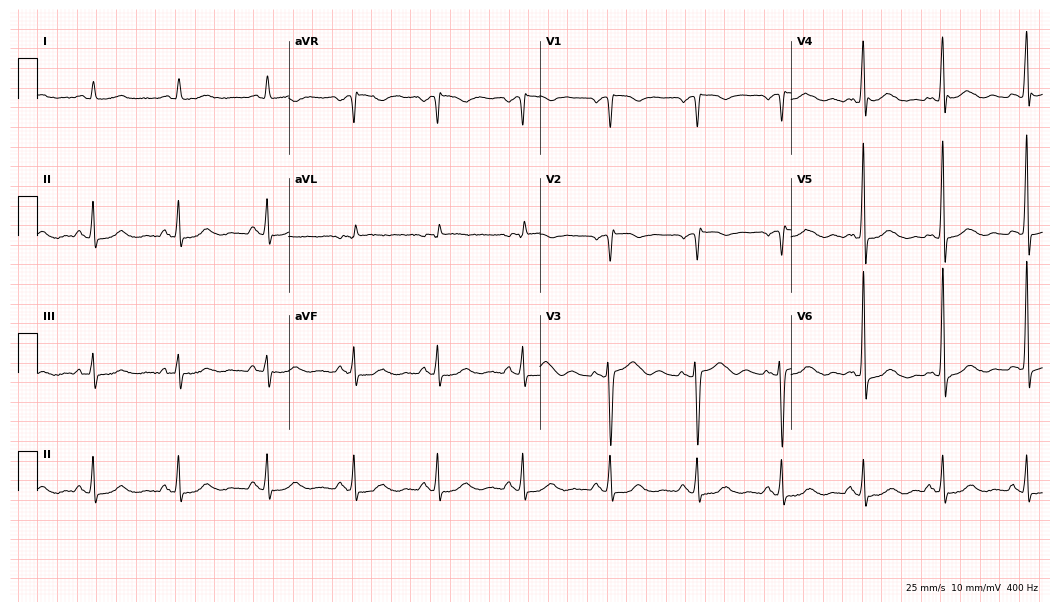
Standard 12-lead ECG recorded from a 45-year-old female patient (10.2-second recording at 400 Hz). Read as a normal ECG.